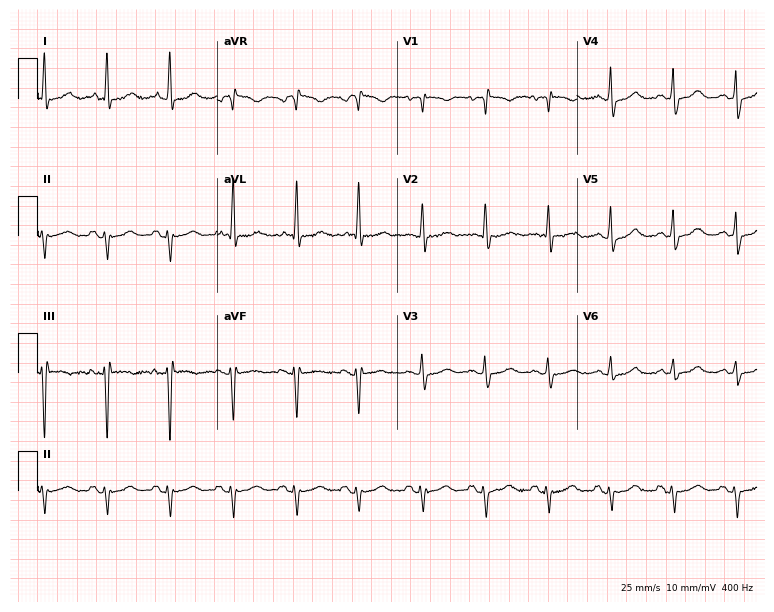
Electrocardiogram (7.3-second recording at 400 Hz), a female, 72 years old. Of the six screened findings (first-degree AV block, right bundle branch block, left bundle branch block, sinus bradycardia, atrial fibrillation, sinus tachycardia), none is recorded. Only these six findings were labelled.